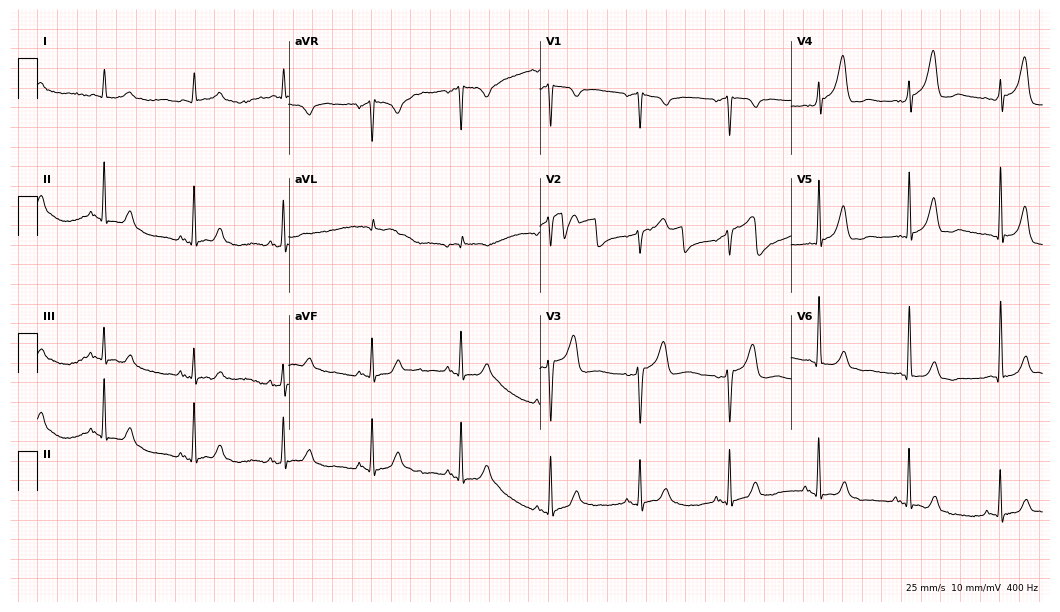
12-lead ECG from a male patient, 82 years old. No first-degree AV block, right bundle branch block, left bundle branch block, sinus bradycardia, atrial fibrillation or sinus tachycardia recorded for this tracing.